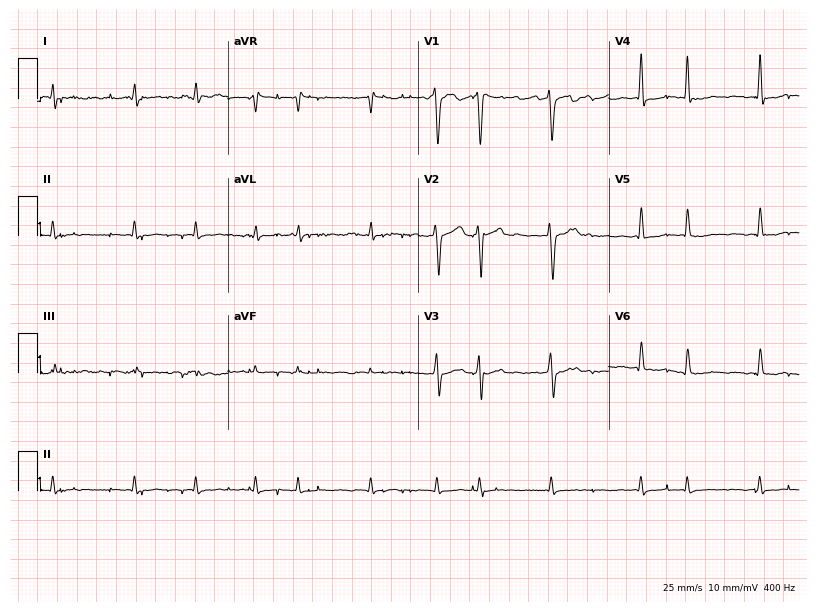
12-lead ECG (7.8-second recording at 400 Hz) from a 68-year-old woman. Findings include atrial fibrillation.